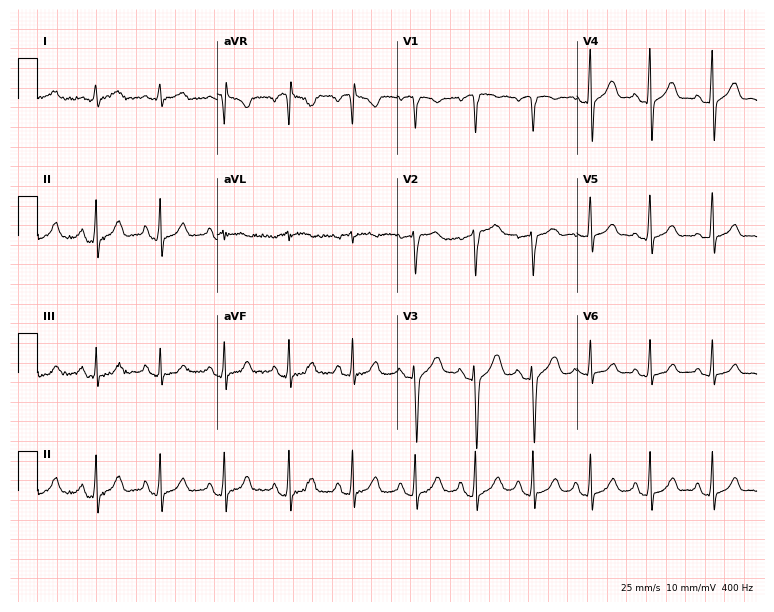
12-lead ECG (7.3-second recording at 400 Hz) from a man, 45 years old. Screened for six findings — first-degree AV block, right bundle branch block (RBBB), left bundle branch block (LBBB), sinus bradycardia, atrial fibrillation (AF), sinus tachycardia — none is recorded.